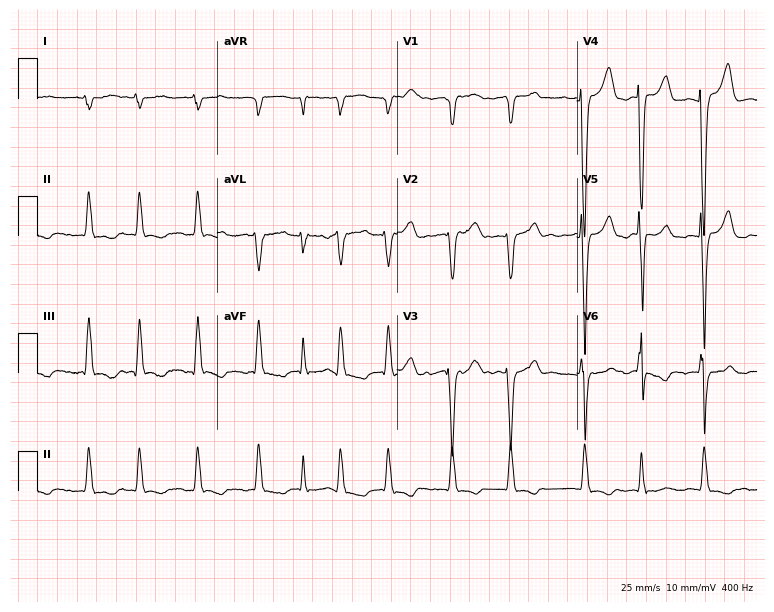
ECG — a male, 66 years old. Findings include atrial fibrillation.